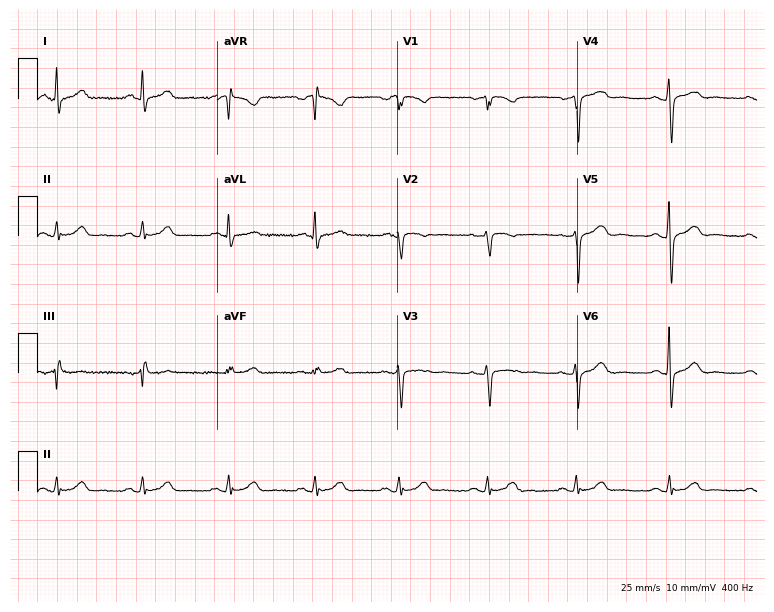
Electrocardiogram, a female, 44 years old. Overall reading on record: normal ECG.